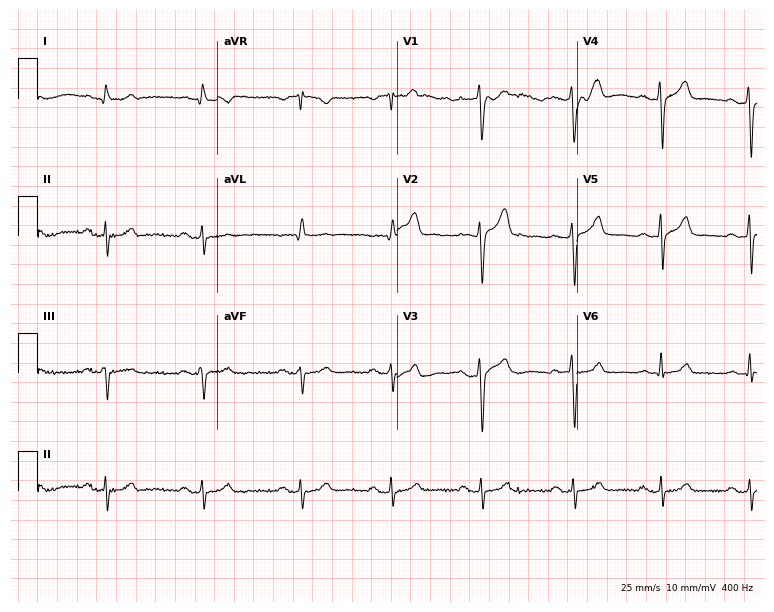
Electrocardiogram, a 53-year-old male. Of the six screened findings (first-degree AV block, right bundle branch block (RBBB), left bundle branch block (LBBB), sinus bradycardia, atrial fibrillation (AF), sinus tachycardia), none is recorded. Only these six findings were labelled.